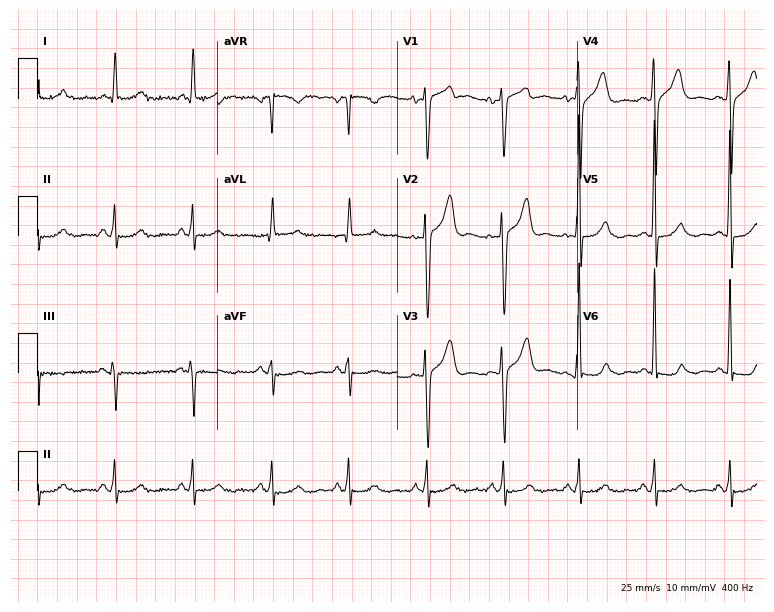
Standard 12-lead ECG recorded from a 60-year-old male patient. Read as a normal ECG.